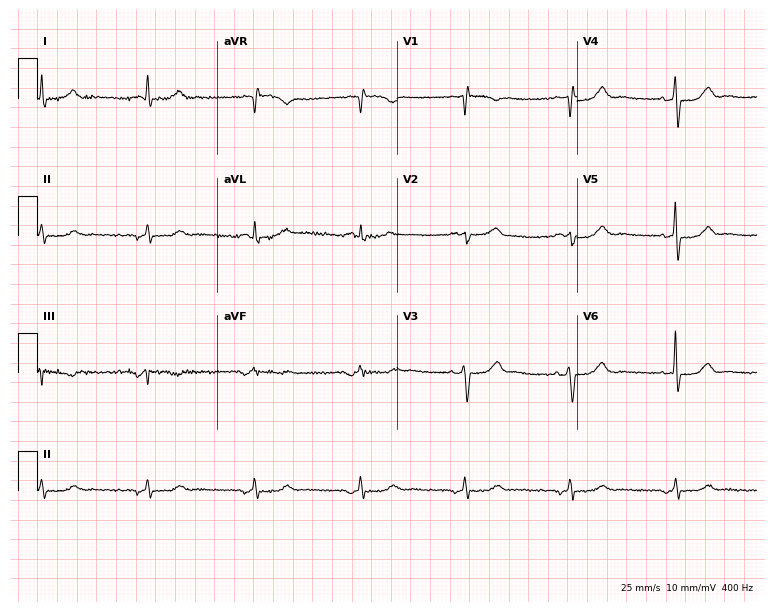
ECG (7.3-second recording at 400 Hz) — a 75-year-old man. Screened for six findings — first-degree AV block, right bundle branch block, left bundle branch block, sinus bradycardia, atrial fibrillation, sinus tachycardia — none is recorded.